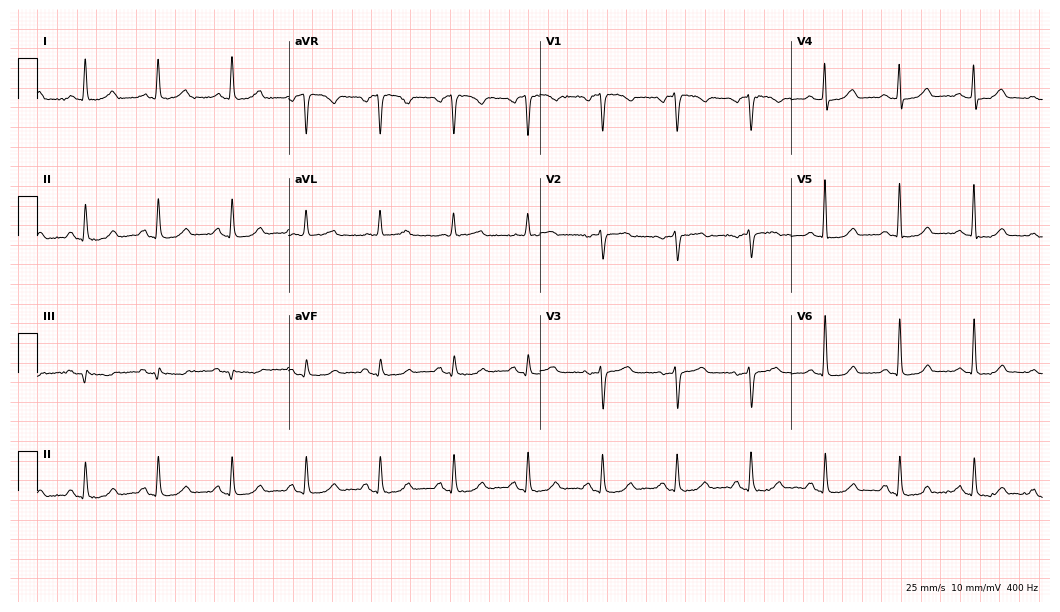
Standard 12-lead ECG recorded from a 66-year-old female. Read as a normal ECG.